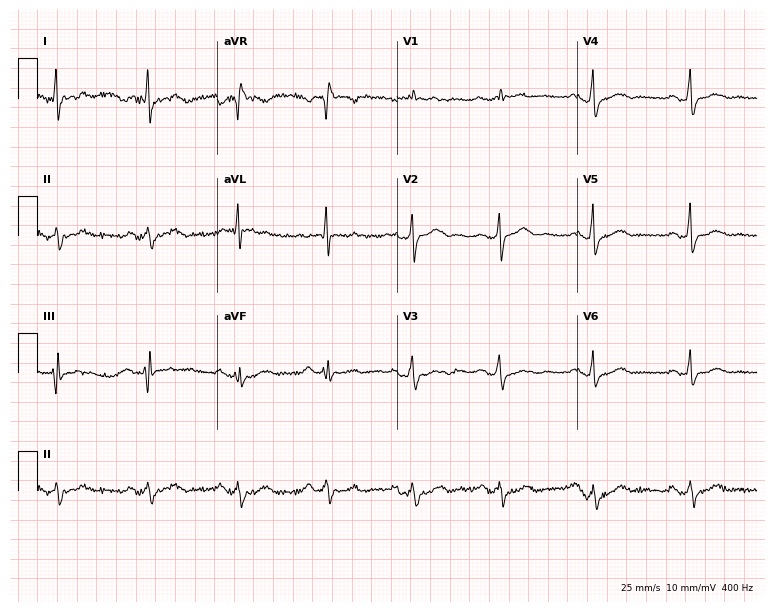
12-lead ECG (7.3-second recording at 400 Hz) from a female, 65 years old. Findings include right bundle branch block (RBBB).